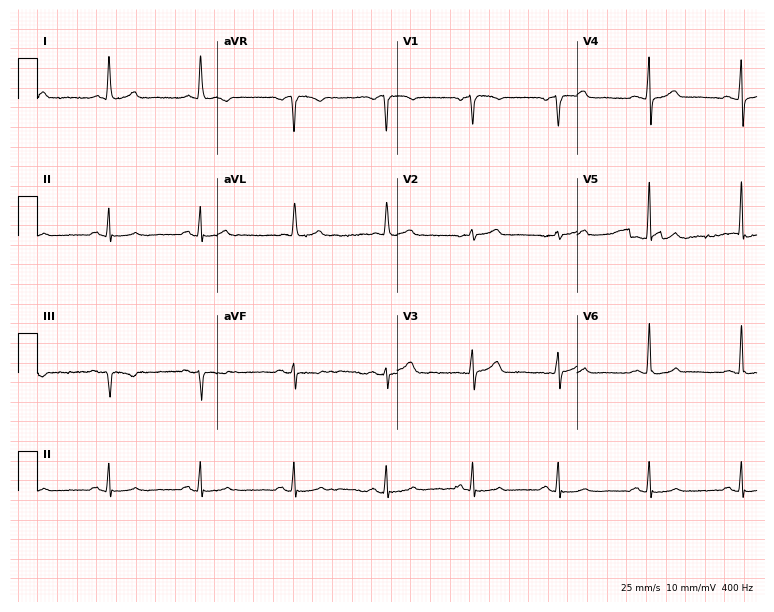
Standard 12-lead ECG recorded from a female, 57 years old (7.3-second recording at 400 Hz). None of these six findings is recorded: first-degree AV block, right bundle branch block, left bundle branch block, sinus bradycardia, atrial fibrillation, sinus tachycardia.